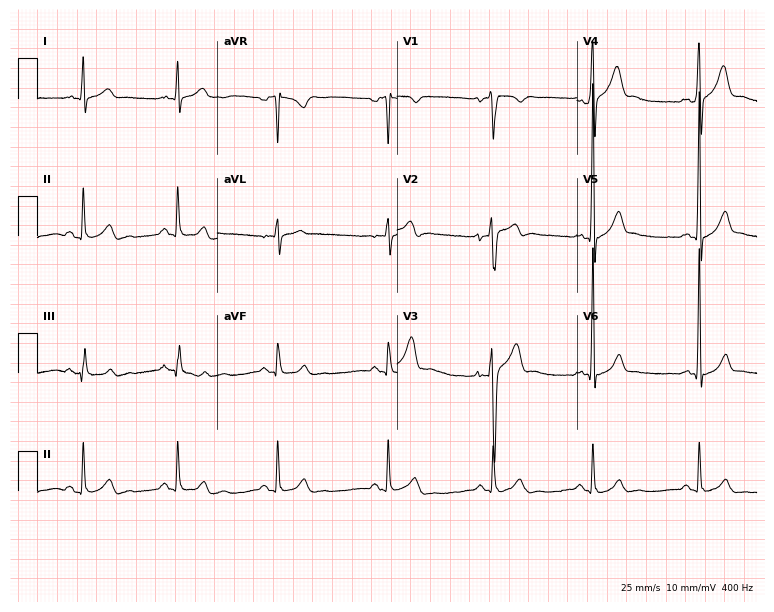
Resting 12-lead electrocardiogram (7.3-second recording at 400 Hz). Patient: a male, 23 years old. Read as a normal ECG.